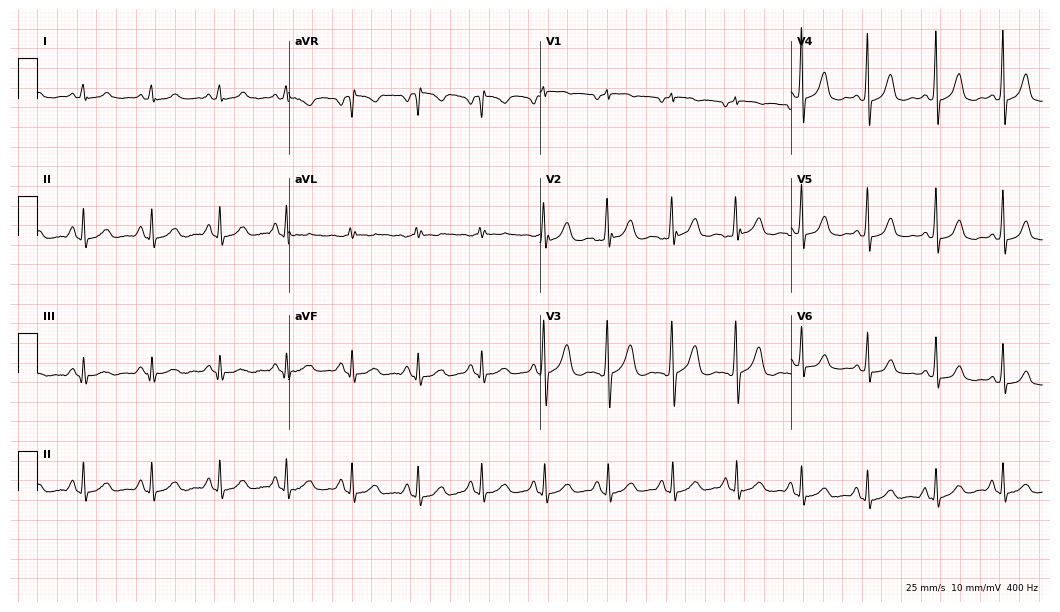
Resting 12-lead electrocardiogram. Patient: a 25-year-old female. Read as a normal ECG.